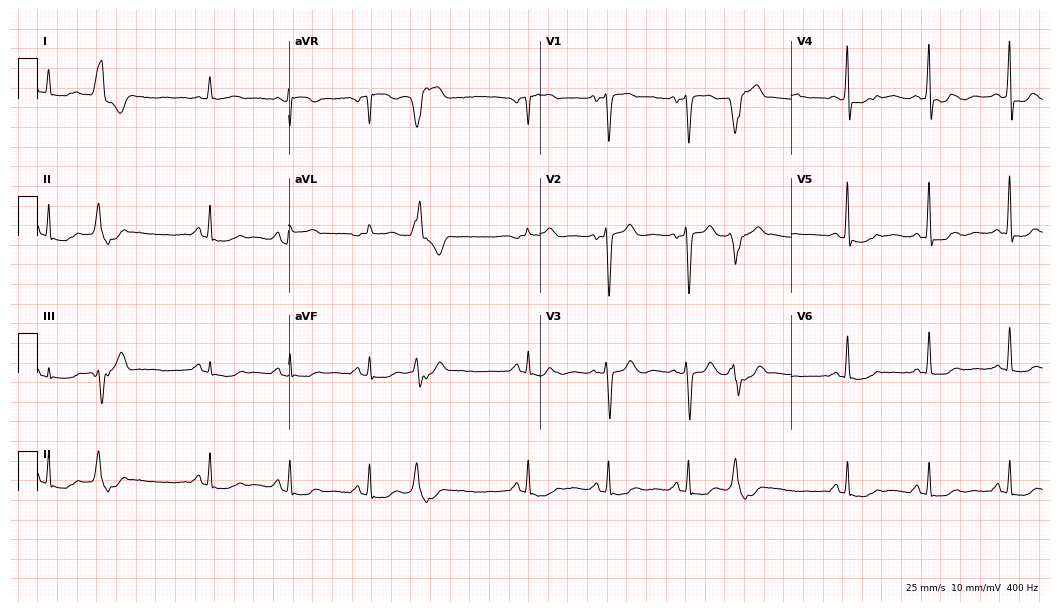
12-lead ECG (10.2-second recording at 400 Hz) from a 67-year-old male. Screened for six findings — first-degree AV block, right bundle branch block (RBBB), left bundle branch block (LBBB), sinus bradycardia, atrial fibrillation (AF), sinus tachycardia — none is recorded. Other findings, if any, are not listed.